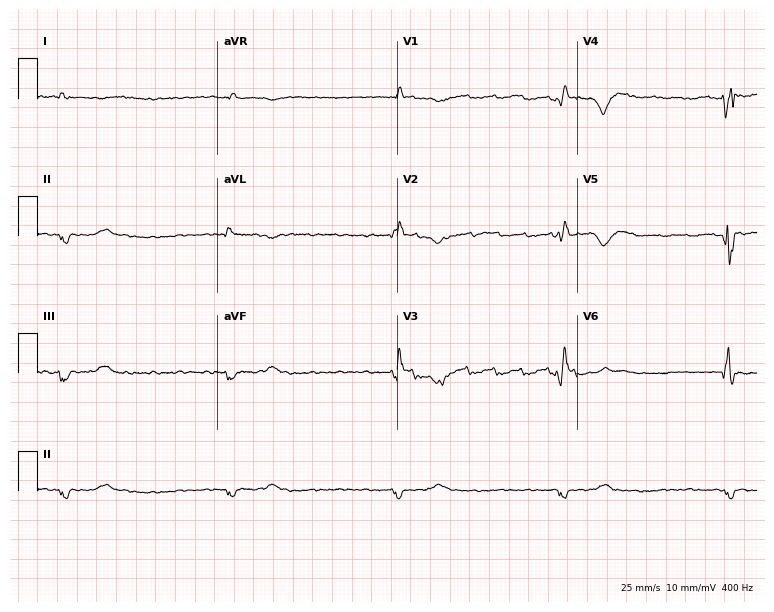
12-lead ECG from a male patient, 80 years old. Screened for six findings — first-degree AV block, right bundle branch block, left bundle branch block, sinus bradycardia, atrial fibrillation, sinus tachycardia — none is recorded. Findings outside these six are not listed.